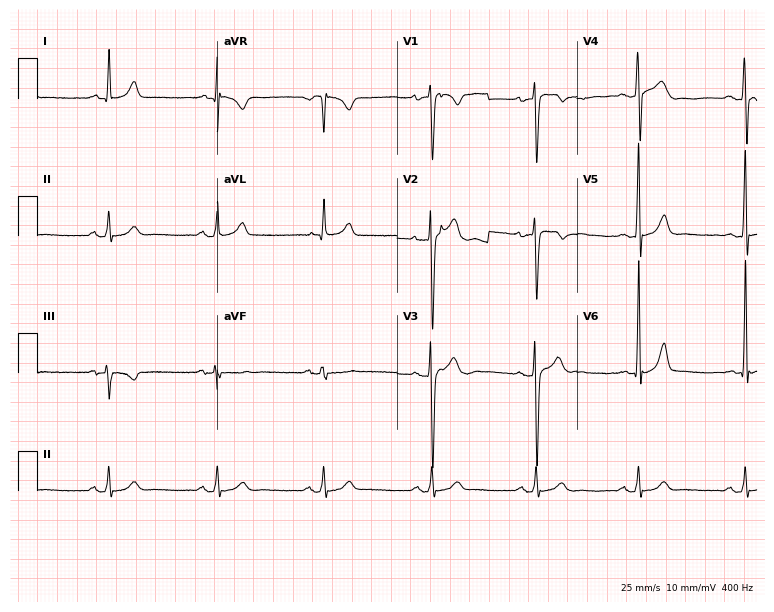
Resting 12-lead electrocardiogram (7.3-second recording at 400 Hz). Patient: a man, 36 years old. Read as a normal ECG.